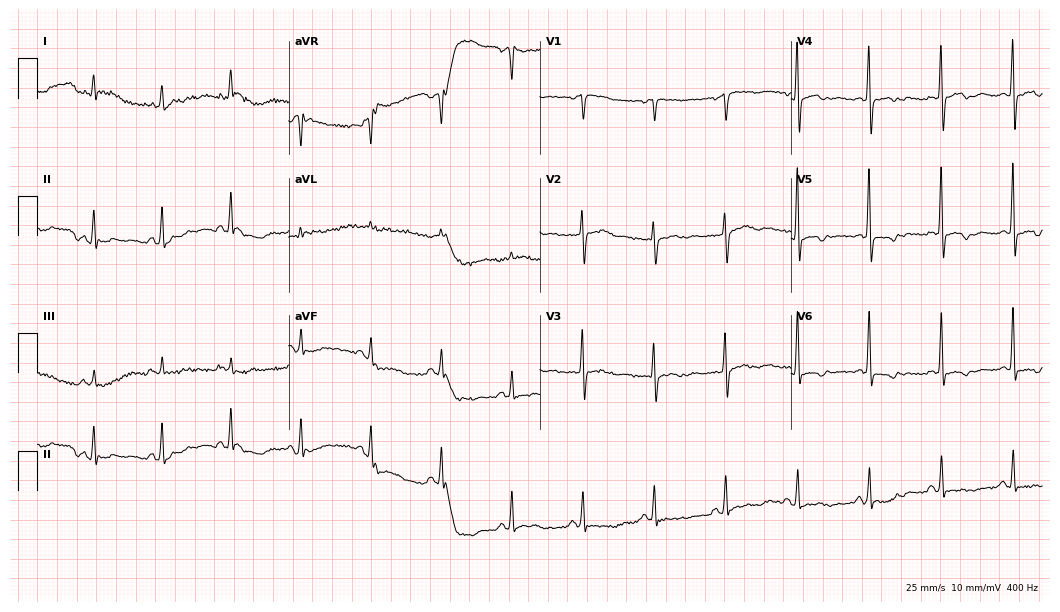
Electrocardiogram (10.2-second recording at 400 Hz), a woman, 73 years old. Of the six screened findings (first-degree AV block, right bundle branch block, left bundle branch block, sinus bradycardia, atrial fibrillation, sinus tachycardia), none is recorded. Only these six findings were labelled.